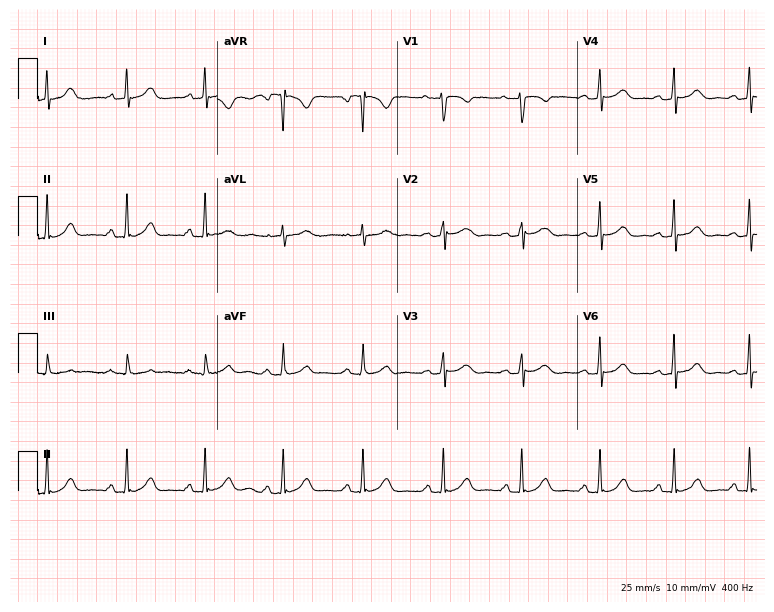
Electrocardiogram, a female patient, 32 years old. Overall reading on record: normal ECG.